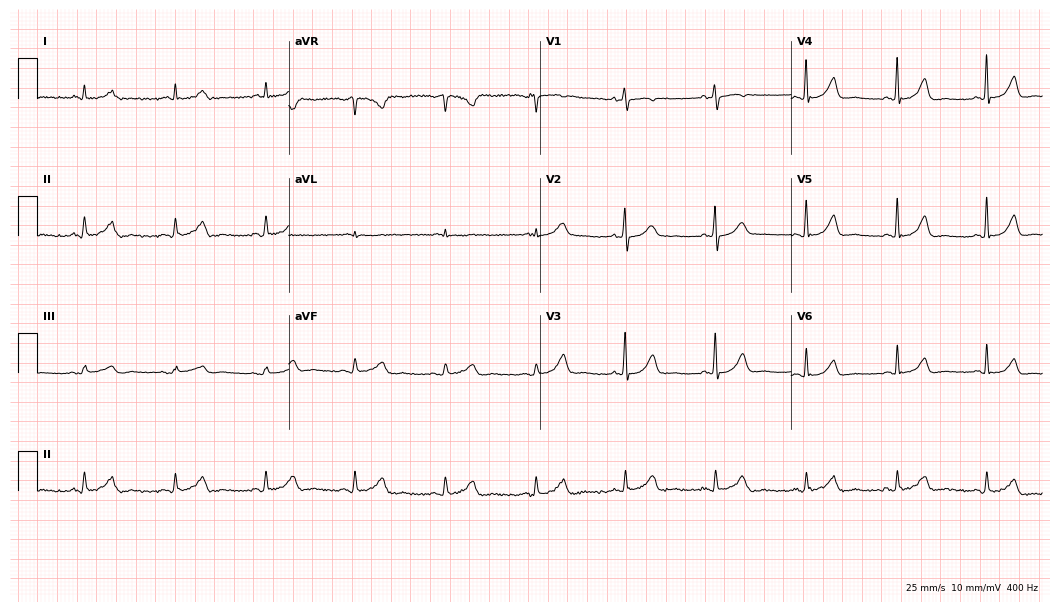
ECG — a 75-year-old male patient. Labelled as a normal ECG.